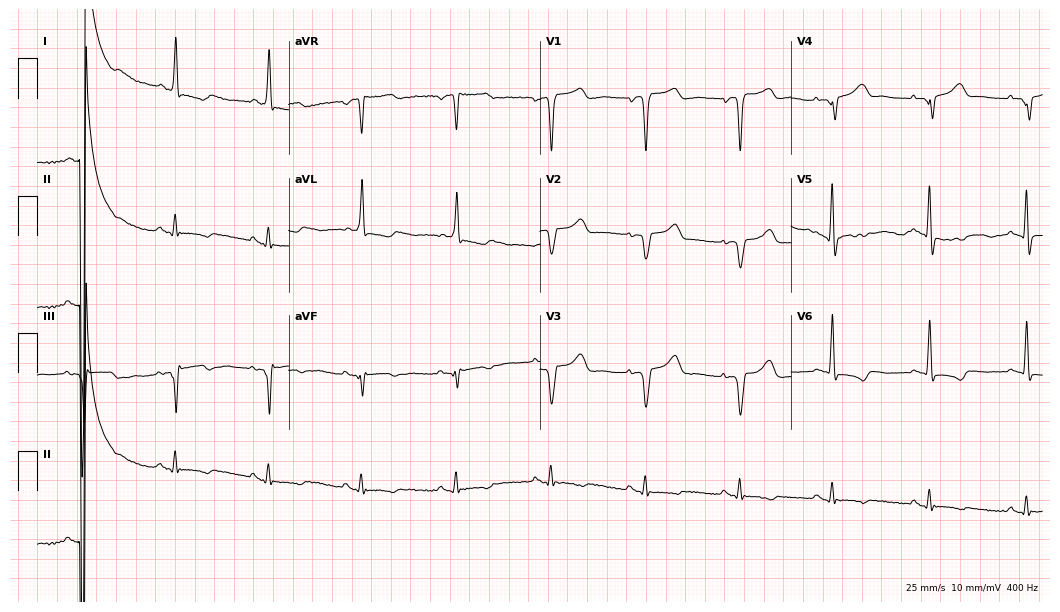
Electrocardiogram, a female patient, 77 years old. Of the six screened findings (first-degree AV block, right bundle branch block (RBBB), left bundle branch block (LBBB), sinus bradycardia, atrial fibrillation (AF), sinus tachycardia), none is recorded. Only these six findings were labelled.